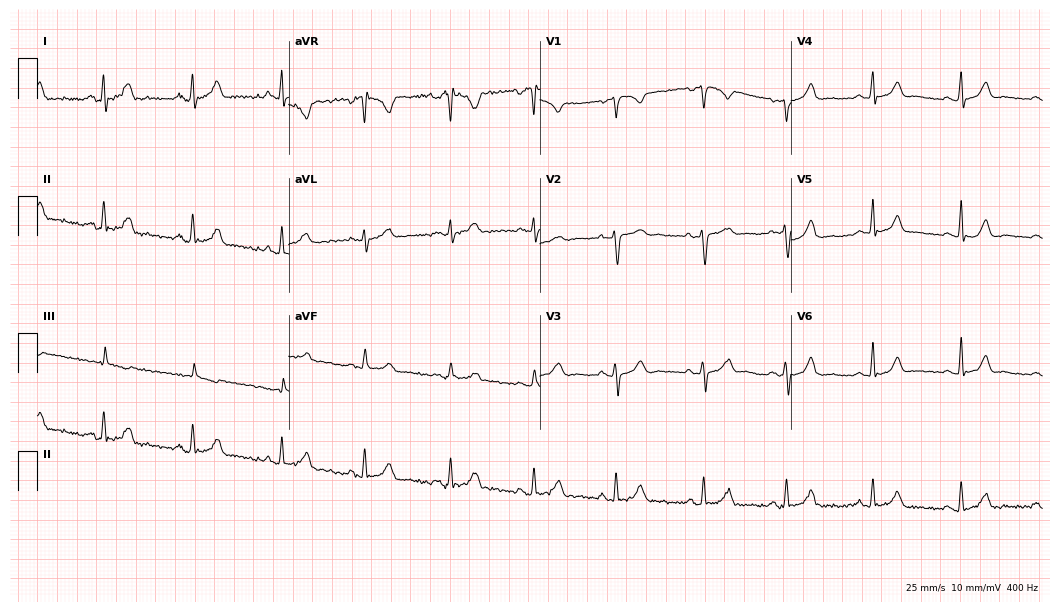
Standard 12-lead ECG recorded from a 28-year-old woman. Read as a normal ECG.